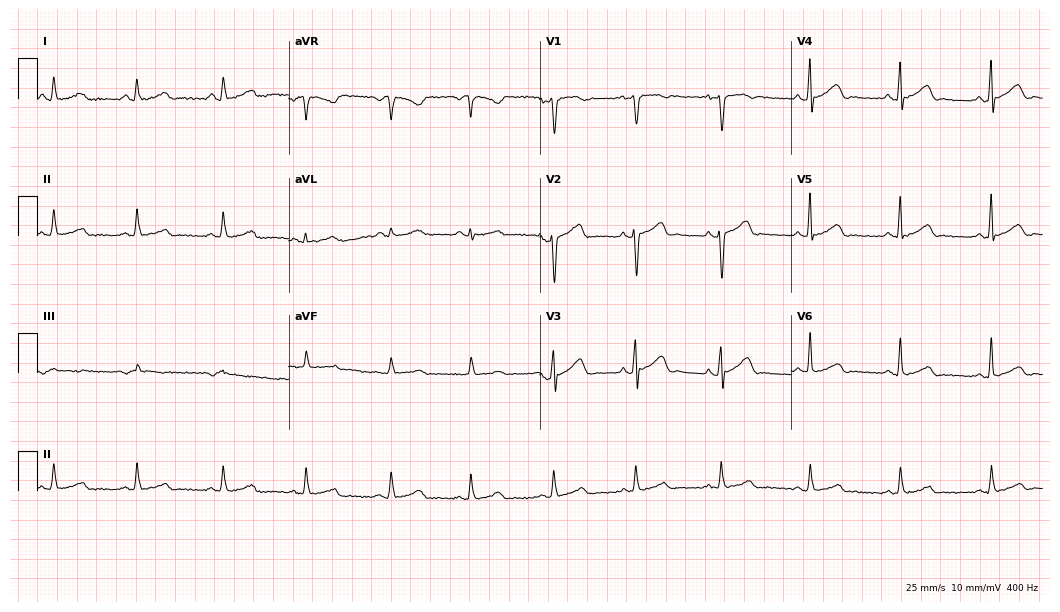
12-lead ECG from a woman, 37 years old (10.2-second recording at 400 Hz). No first-degree AV block, right bundle branch block, left bundle branch block, sinus bradycardia, atrial fibrillation or sinus tachycardia recorded for this tracing. Other findings, if any, are not listed.